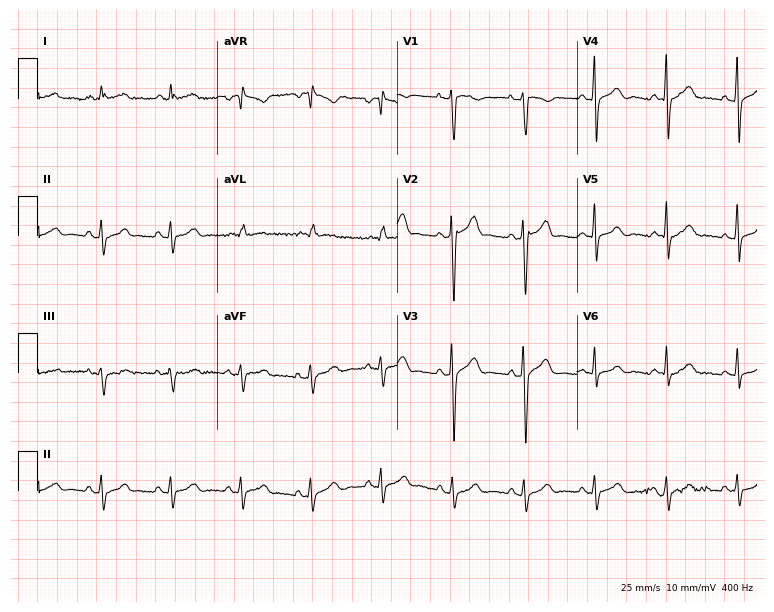
Standard 12-lead ECG recorded from a man, 55 years old. None of these six findings is recorded: first-degree AV block, right bundle branch block, left bundle branch block, sinus bradycardia, atrial fibrillation, sinus tachycardia. Only these six findings were labelled.